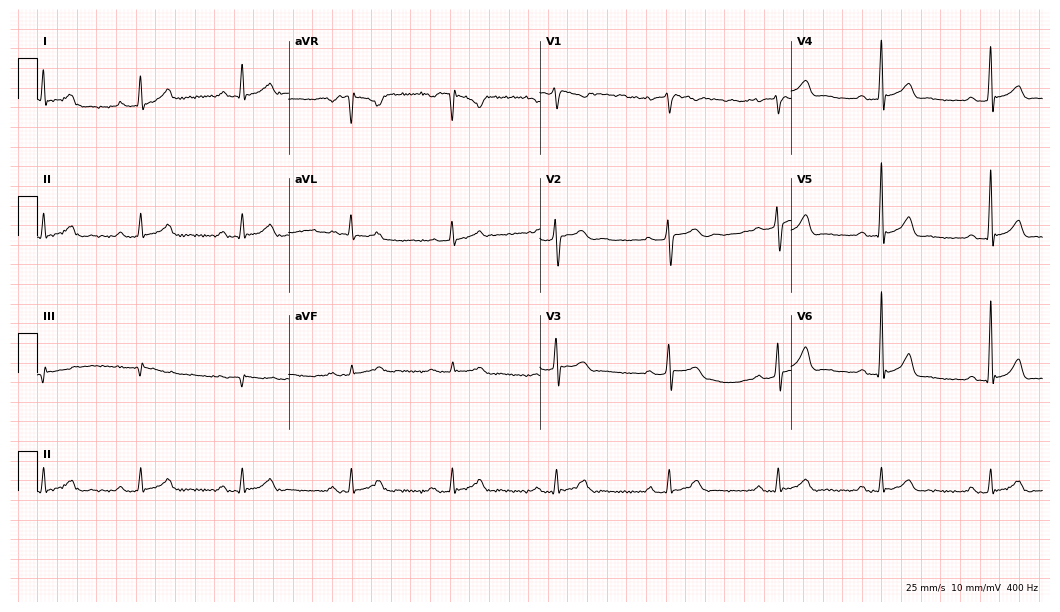
12-lead ECG from a 43-year-old man (10.2-second recording at 400 Hz). Recorded interpretation: within normal limits.